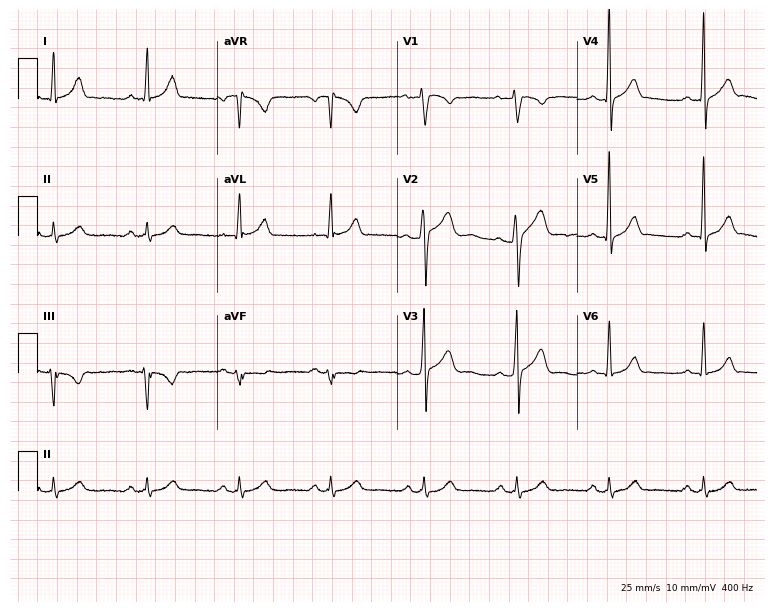
Standard 12-lead ECG recorded from a 39-year-old male. None of these six findings is recorded: first-degree AV block, right bundle branch block, left bundle branch block, sinus bradycardia, atrial fibrillation, sinus tachycardia.